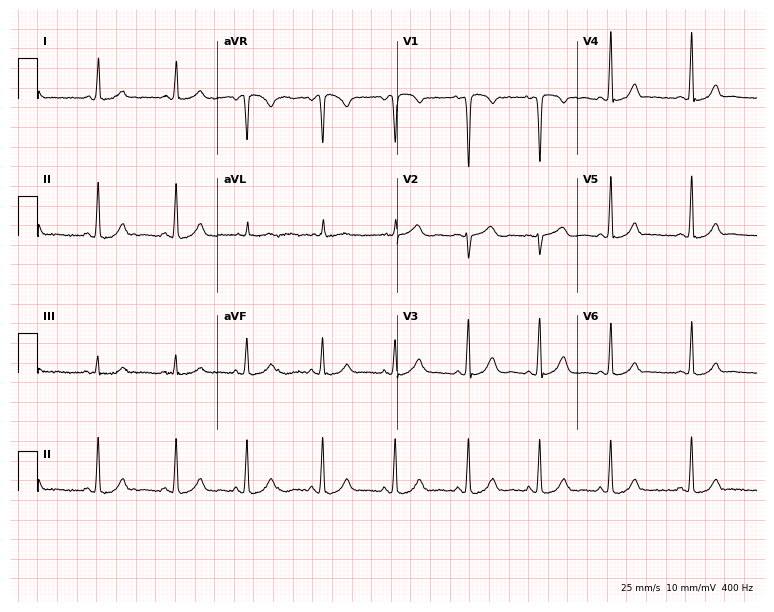
Electrocardiogram (7.3-second recording at 400 Hz), a woman, 20 years old. Overall reading on record: normal ECG.